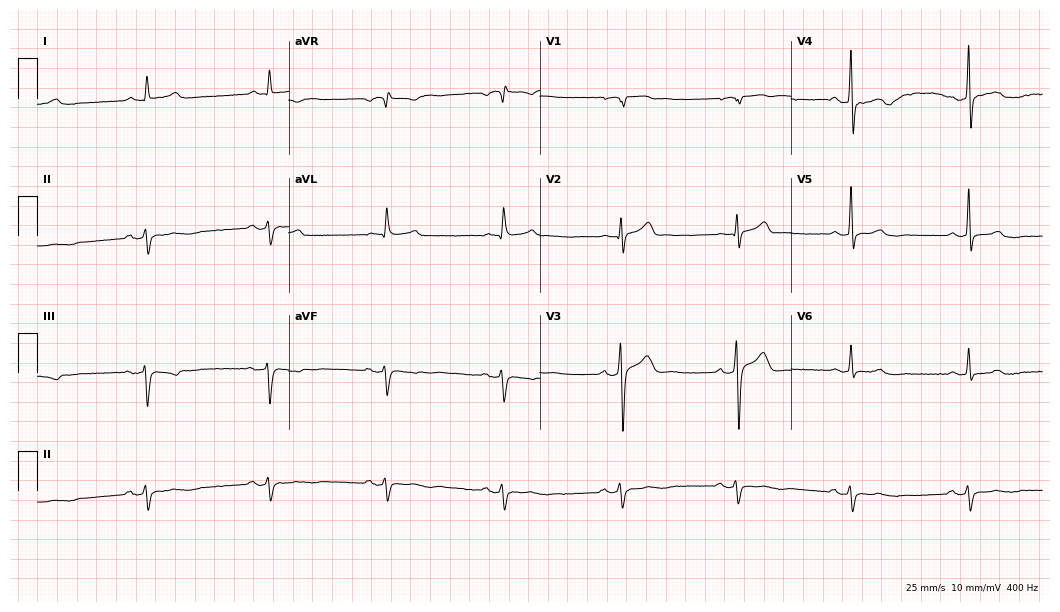
Electrocardiogram (10.2-second recording at 400 Hz), a male, 57 years old. Interpretation includes sinus bradycardia (a sinus rate of 50 beats per minute or less).